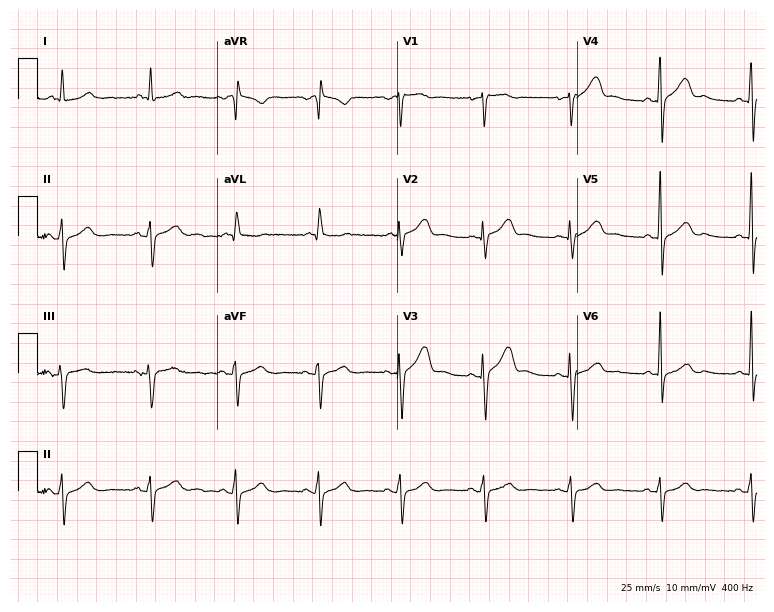
ECG (7.3-second recording at 400 Hz) — a 54-year-old male. Screened for six findings — first-degree AV block, right bundle branch block, left bundle branch block, sinus bradycardia, atrial fibrillation, sinus tachycardia — none is recorded.